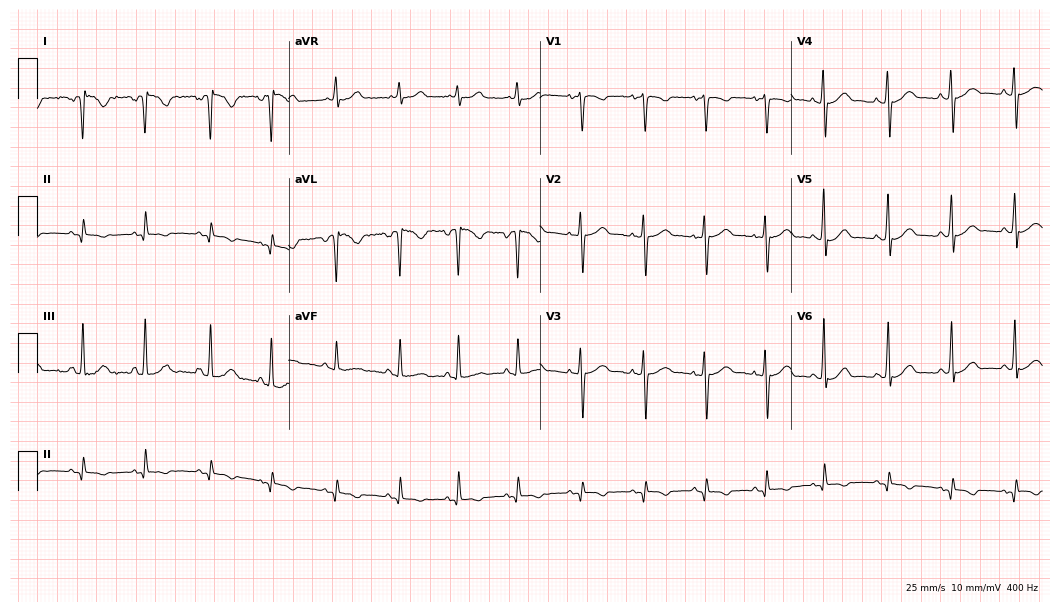
Electrocardiogram (10.2-second recording at 400 Hz), a 23-year-old female. Of the six screened findings (first-degree AV block, right bundle branch block, left bundle branch block, sinus bradycardia, atrial fibrillation, sinus tachycardia), none is recorded.